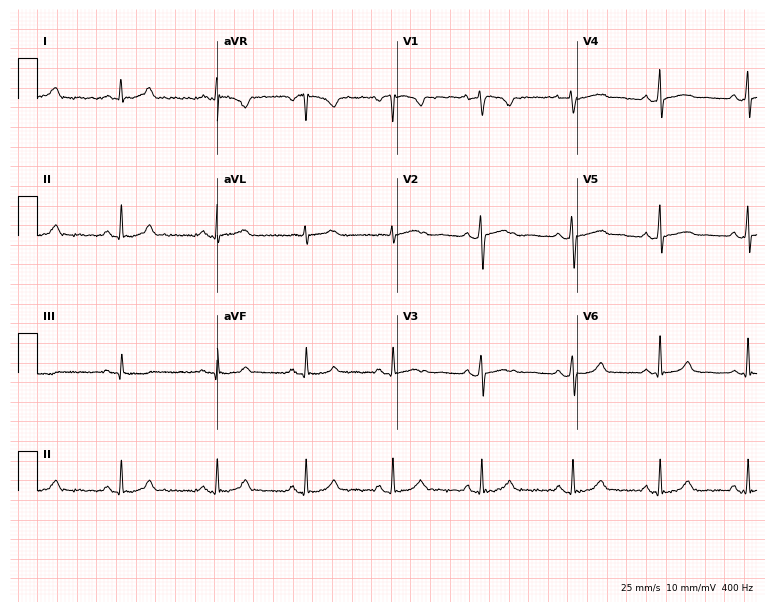
Standard 12-lead ECG recorded from a 39-year-old male. None of these six findings is recorded: first-degree AV block, right bundle branch block, left bundle branch block, sinus bradycardia, atrial fibrillation, sinus tachycardia. Findings outside these six are not listed.